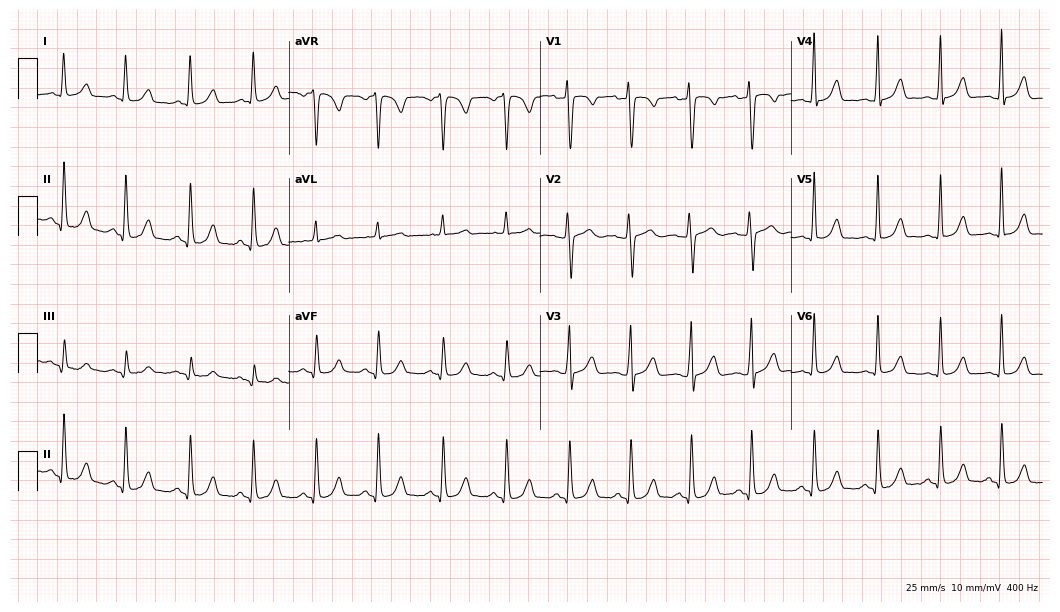
ECG (10.2-second recording at 400 Hz) — a 35-year-old woman. Labelled as a normal ECG.